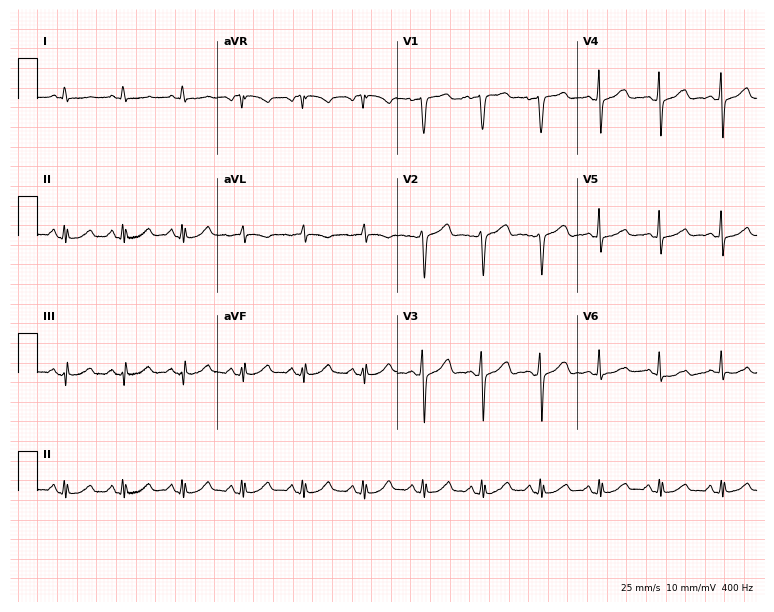
12-lead ECG from a 69-year-old woman. No first-degree AV block, right bundle branch block (RBBB), left bundle branch block (LBBB), sinus bradycardia, atrial fibrillation (AF) or sinus tachycardia recorded for this tracing. Other findings, if any, are not listed.